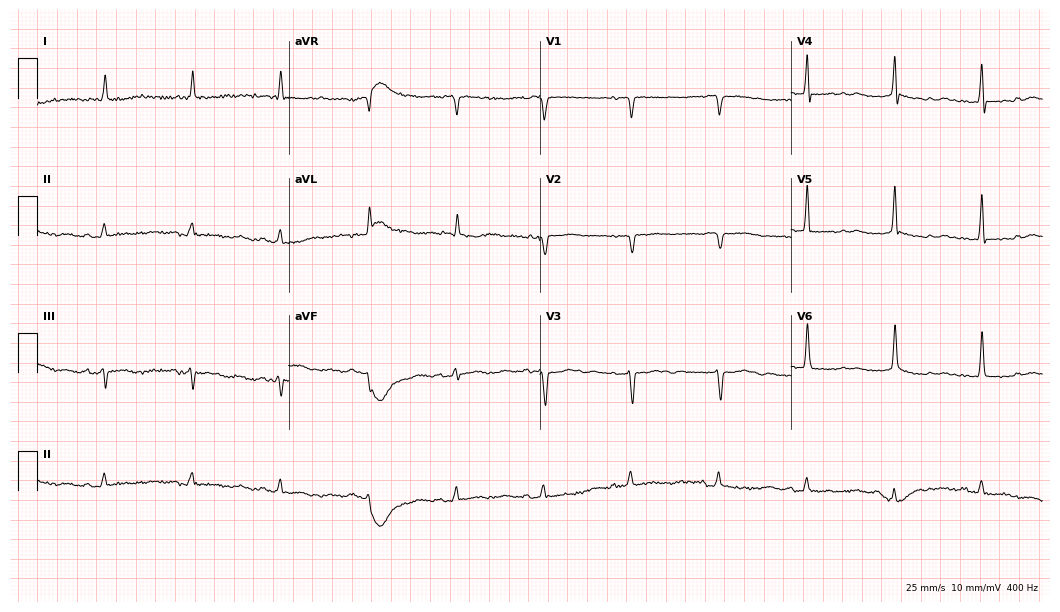
Resting 12-lead electrocardiogram (10.2-second recording at 400 Hz). Patient: an 82-year-old female. None of these six findings is recorded: first-degree AV block, right bundle branch block, left bundle branch block, sinus bradycardia, atrial fibrillation, sinus tachycardia. Other findings, if any, are not listed.